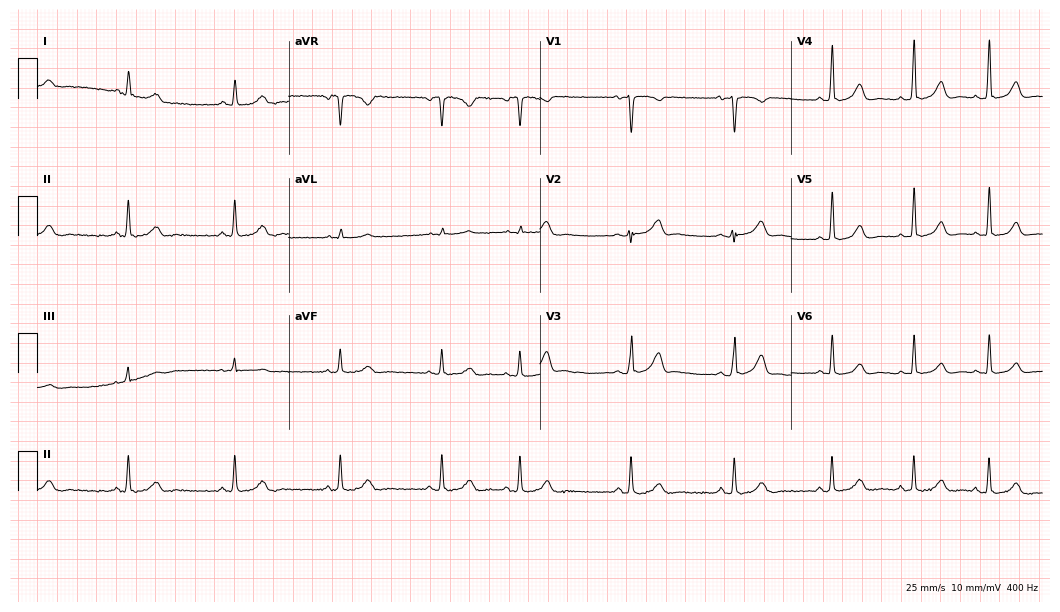
ECG — a woman, 24 years old. Labelled as a normal ECG.